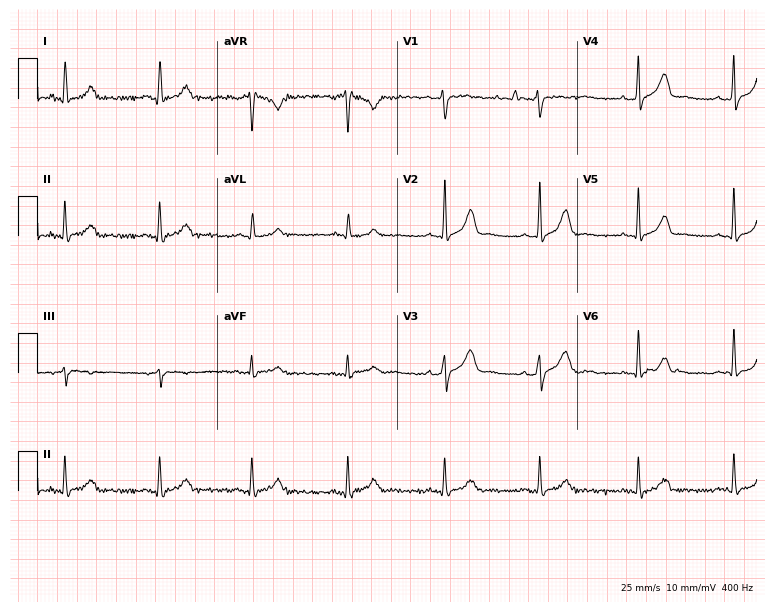
ECG (7.3-second recording at 400 Hz) — a 41-year-old female. Labelled as a normal ECG.